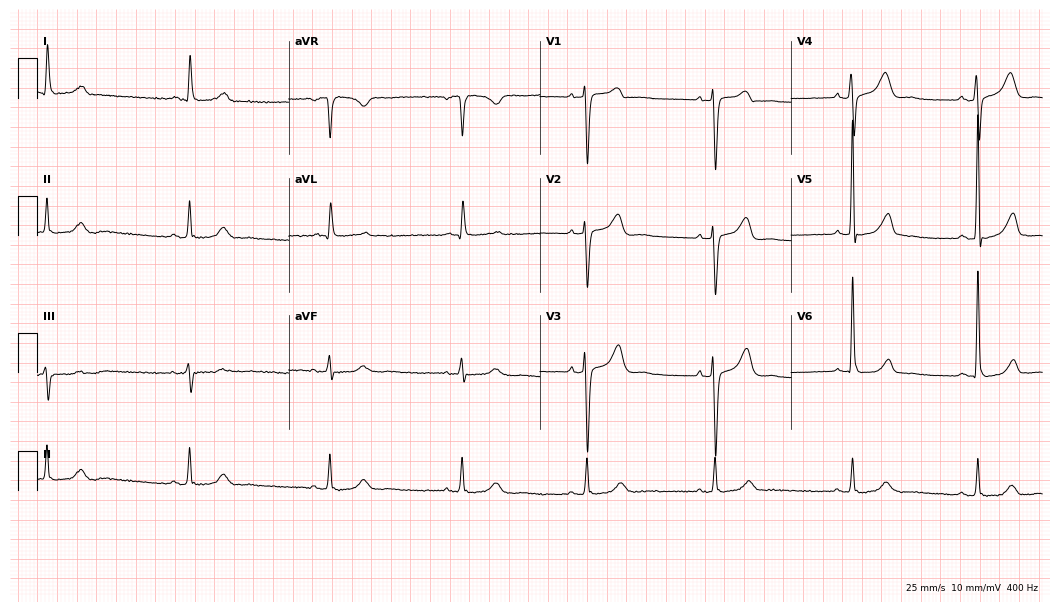
12-lead ECG from a female, 68 years old. Shows sinus bradycardia (a sinus rate of 50 beats per minute or less).